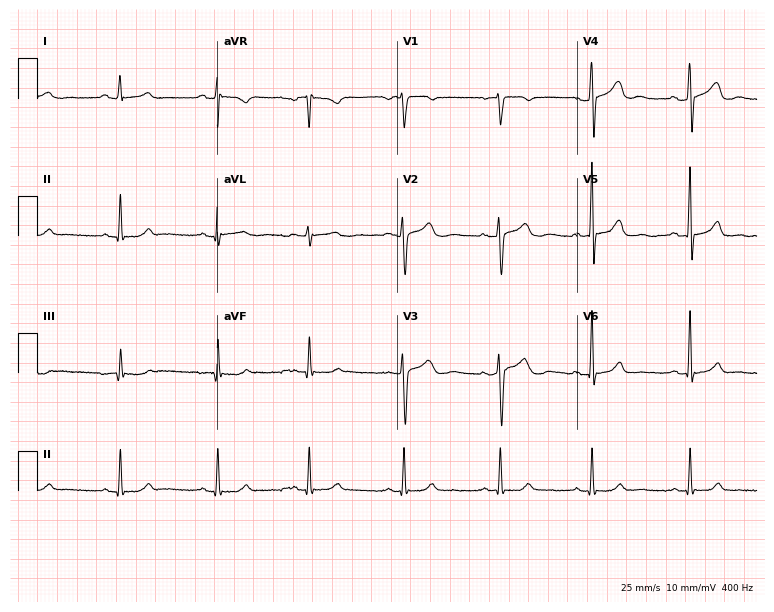
12-lead ECG from a woman, 47 years old. Screened for six findings — first-degree AV block, right bundle branch block, left bundle branch block, sinus bradycardia, atrial fibrillation, sinus tachycardia — none is recorded.